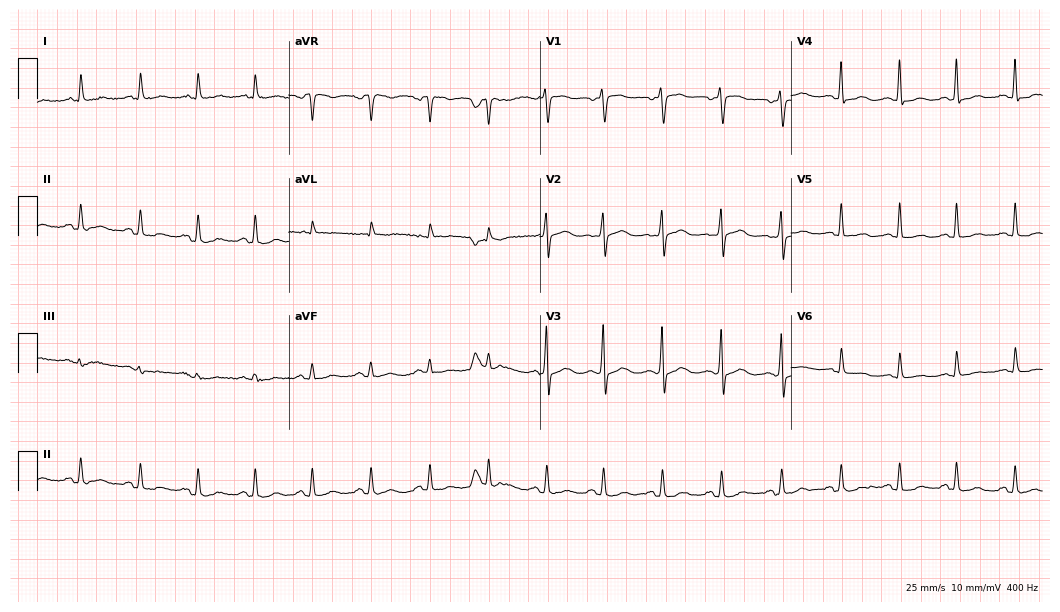
Electrocardiogram (10.2-second recording at 400 Hz), a 49-year-old woman. Of the six screened findings (first-degree AV block, right bundle branch block (RBBB), left bundle branch block (LBBB), sinus bradycardia, atrial fibrillation (AF), sinus tachycardia), none is recorded.